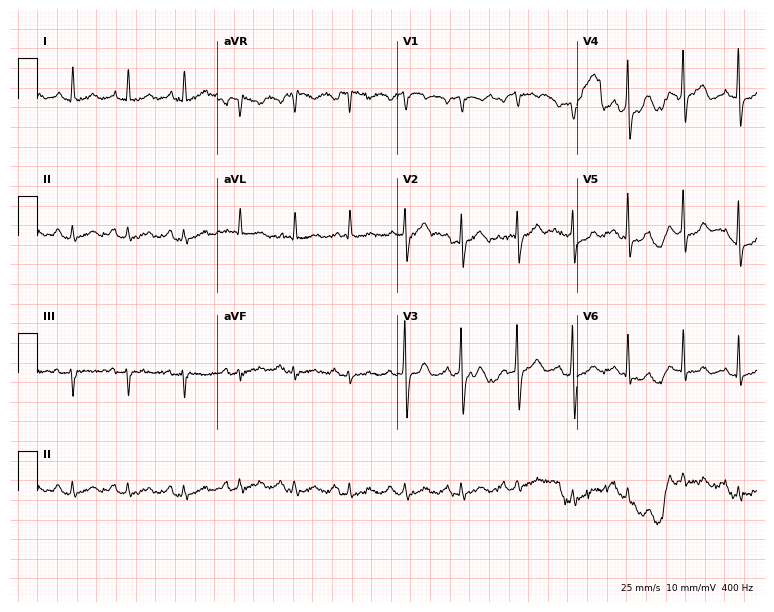
Electrocardiogram, a male patient, 83 years old. Interpretation includes sinus tachycardia (a sinus rate of 100 beats per minute or more).